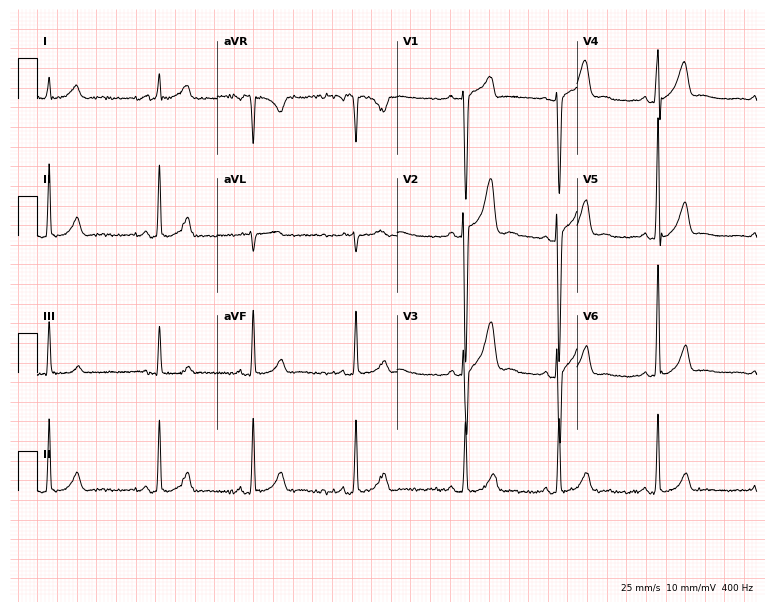
12-lead ECG from a 22-year-old man (7.3-second recording at 400 Hz). No first-degree AV block, right bundle branch block, left bundle branch block, sinus bradycardia, atrial fibrillation or sinus tachycardia recorded for this tracing. Other findings, if any, are not listed.